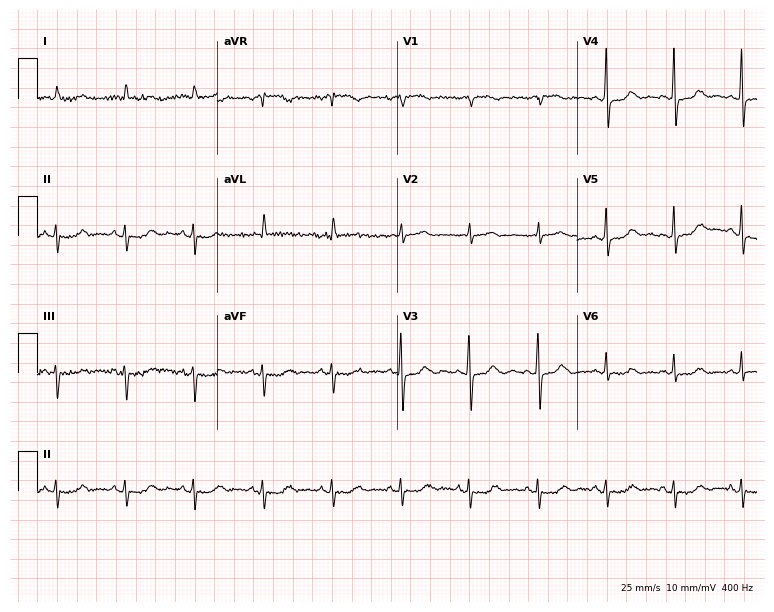
Standard 12-lead ECG recorded from an 84-year-old female (7.3-second recording at 400 Hz). None of these six findings is recorded: first-degree AV block, right bundle branch block, left bundle branch block, sinus bradycardia, atrial fibrillation, sinus tachycardia.